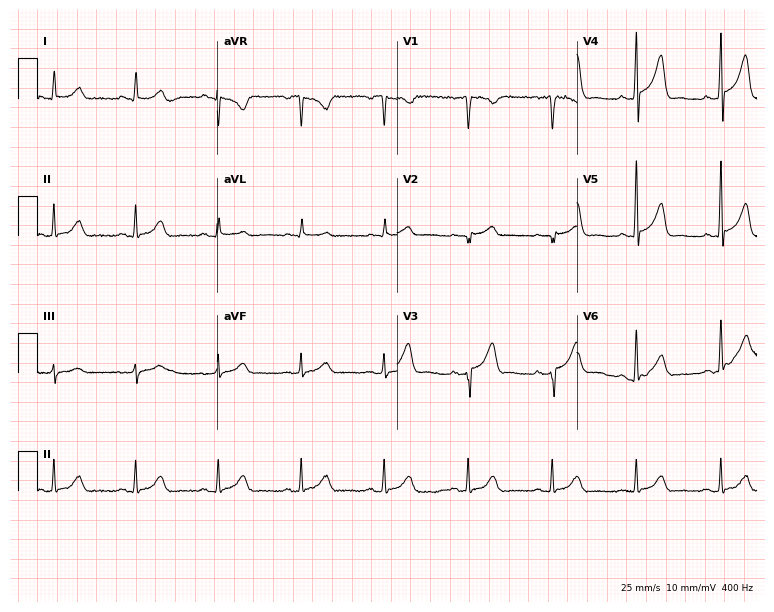
ECG — a 53-year-old man. Screened for six findings — first-degree AV block, right bundle branch block (RBBB), left bundle branch block (LBBB), sinus bradycardia, atrial fibrillation (AF), sinus tachycardia — none is recorded. Other findings, if any, are not listed.